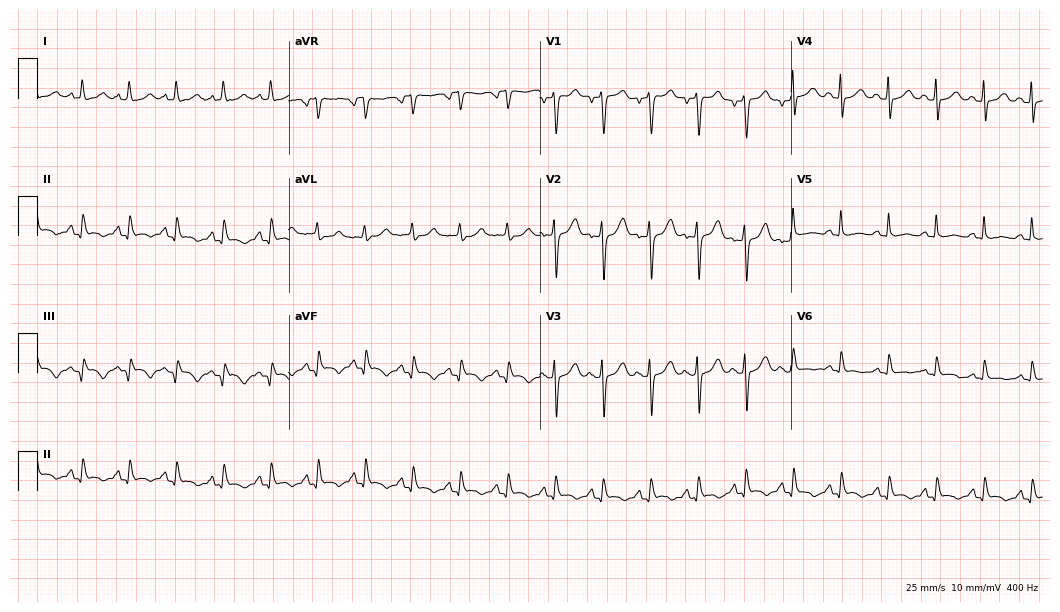
ECG — a 67-year-old female. Findings include sinus tachycardia (a sinus rate of 100 beats per minute or more).